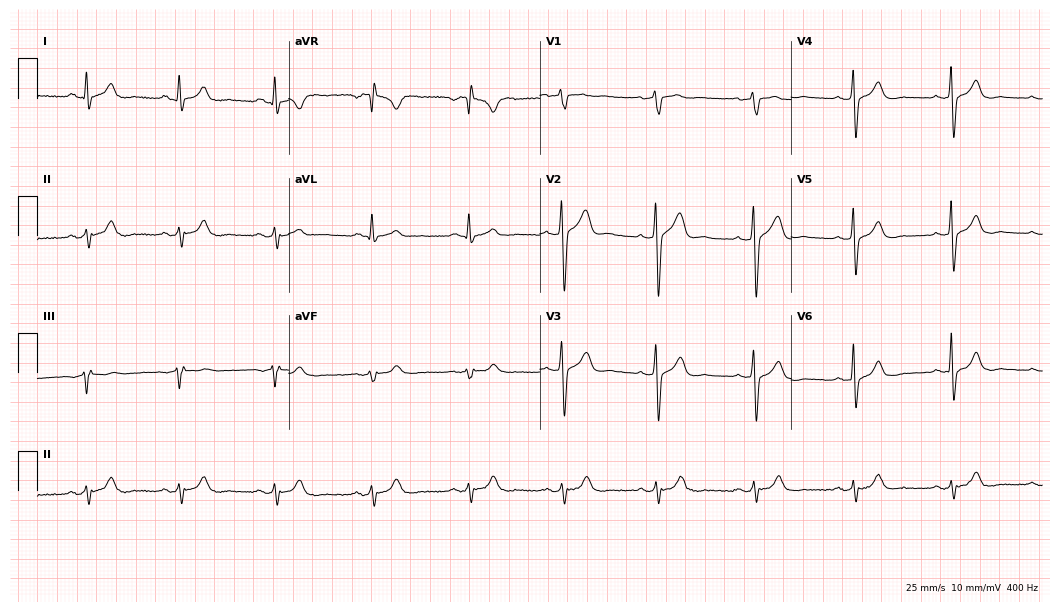
12-lead ECG from a man, 37 years old. Recorded interpretation: within normal limits.